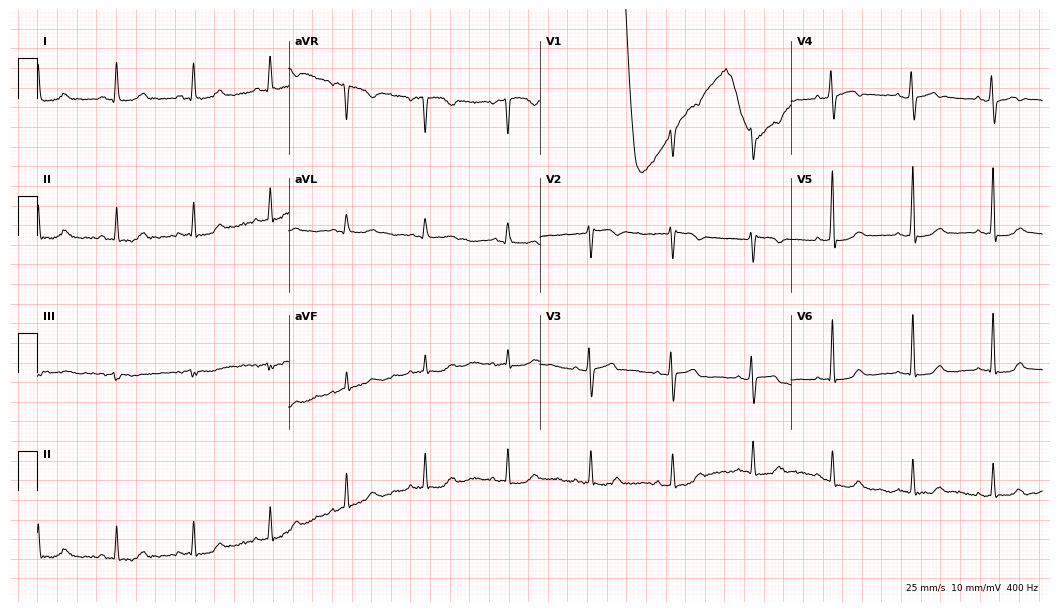
12-lead ECG from a 55-year-old woman. No first-degree AV block, right bundle branch block (RBBB), left bundle branch block (LBBB), sinus bradycardia, atrial fibrillation (AF) or sinus tachycardia recorded for this tracing.